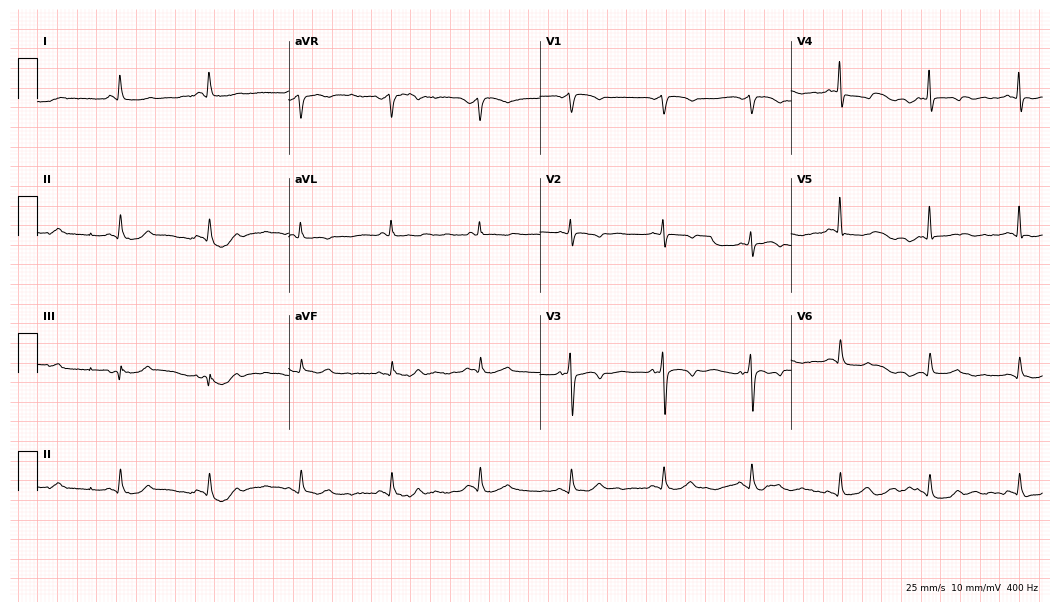
Standard 12-lead ECG recorded from a female, 72 years old (10.2-second recording at 400 Hz). None of these six findings is recorded: first-degree AV block, right bundle branch block, left bundle branch block, sinus bradycardia, atrial fibrillation, sinus tachycardia.